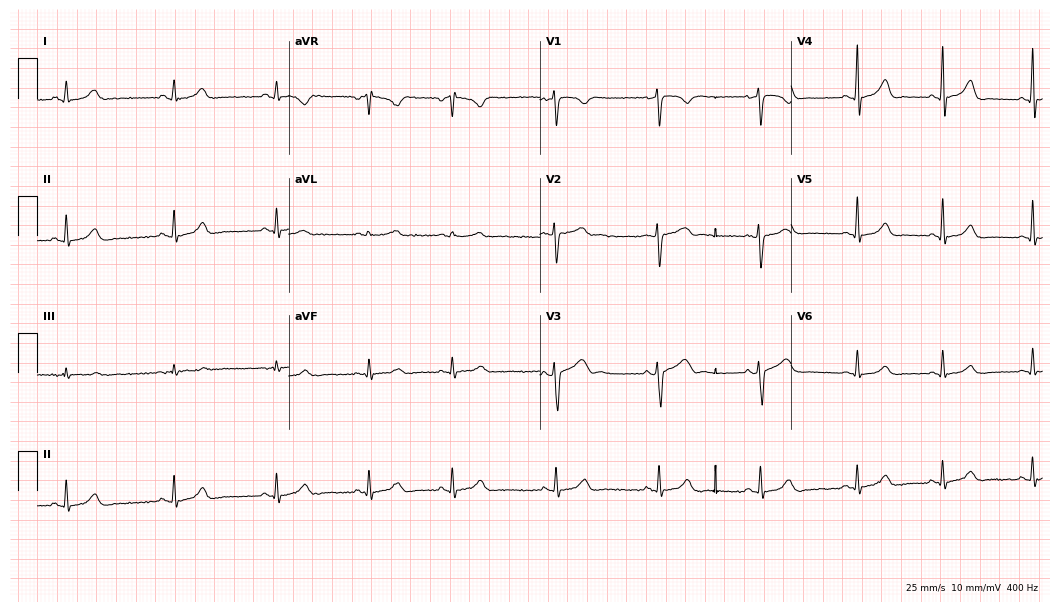
Standard 12-lead ECG recorded from a 23-year-old male patient. None of these six findings is recorded: first-degree AV block, right bundle branch block, left bundle branch block, sinus bradycardia, atrial fibrillation, sinus tachycardia. Only these six findings were labelled.